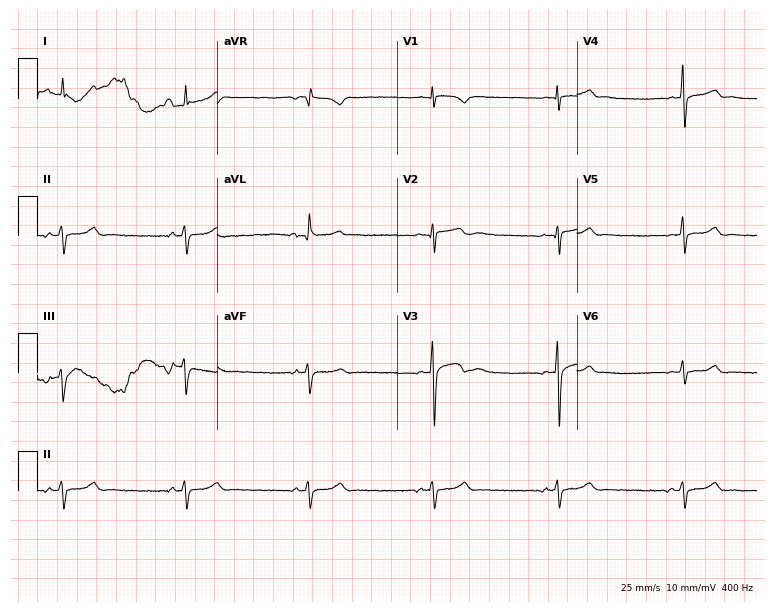
Resting 12-lead electrocardiogram (7.3-second recording at 400 Hz). Patient: a 43-year-old male. The tracing shows sinus bradycardia (a sinus rate of 50 beats per minute or less).